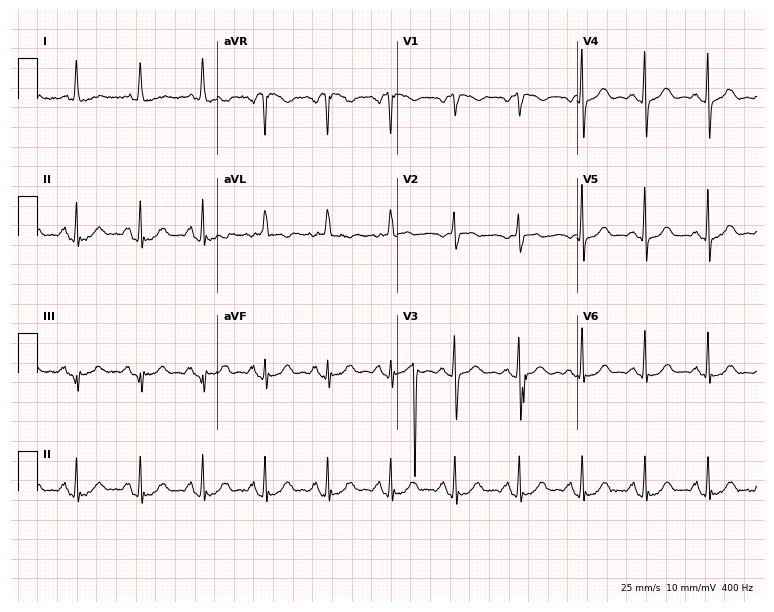
ECG — a female patient, 80 years old. Screened for six findings — first-degree AV block, right bundle branch block, left bundle branch block, sinus bradycardia, atrial fibrillation, sinus tachycardia — none is recorded. Other findings, if any, are not listed.